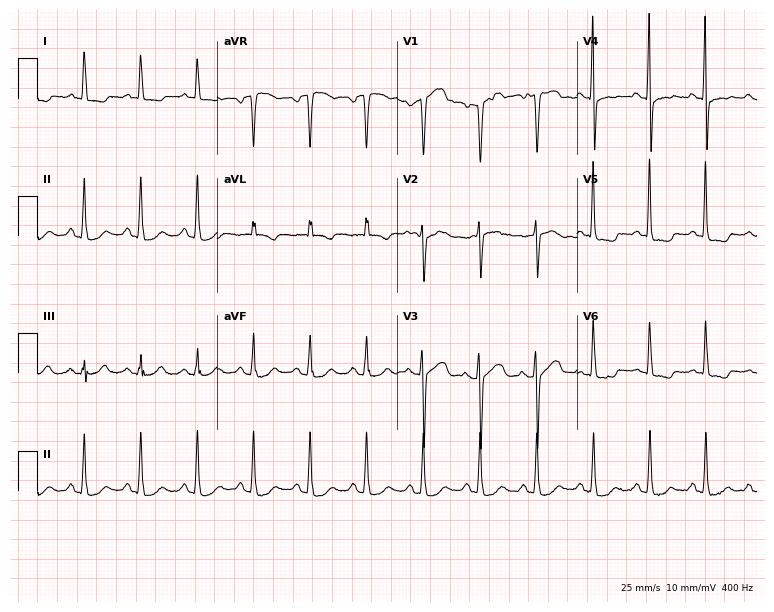
Electrocardiogram, a female patient, 78 years old. Interpretation includes sinus tachycardia (a sinus rate of 100 beats per minute or more).